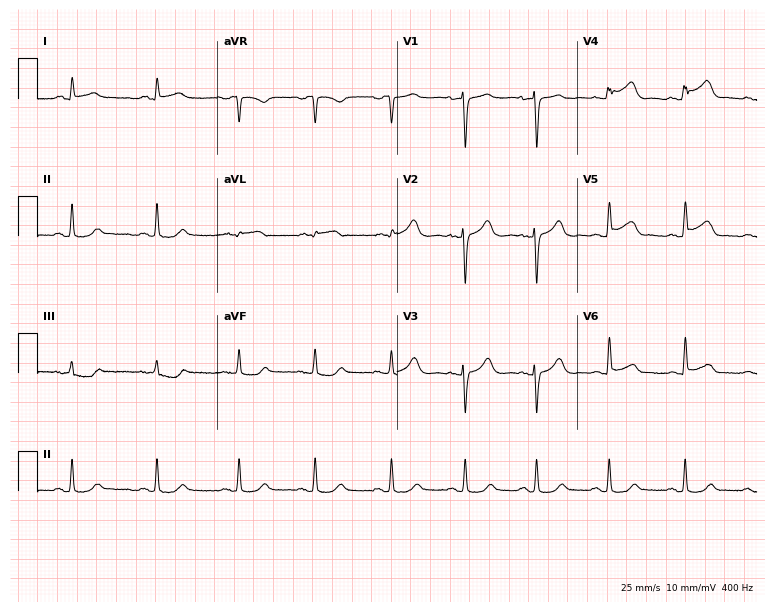
Electrocardiogram, a woman, 41 years old. Of the six screened findings (first-degree AV block, right bundle branch block, left bundle branch block, sinus bradycardia, atrial fibrillation, sinus tachycardia), none is recorded. Only these six findings were labelled.